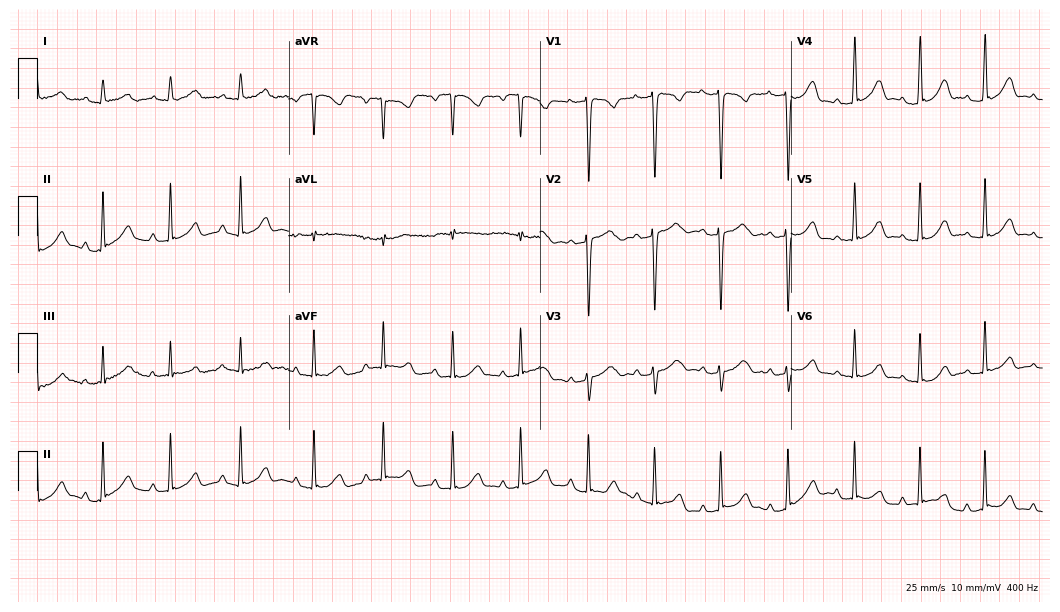
ECG (10.2-second recording at 400 Hz) — a 23-year-old female. Labelled as a normal ECG.